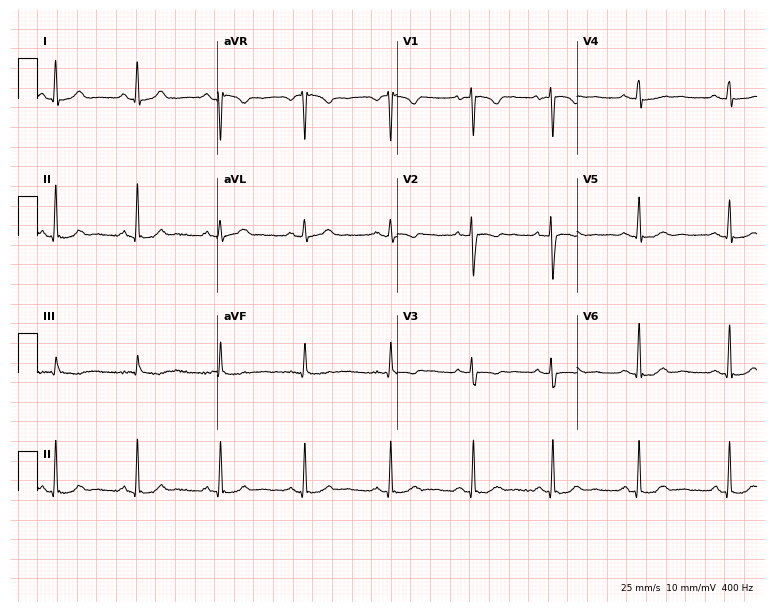
Standard 12-lead ECG recorded from a 22-year-old female patient. Read as a normal ECG.